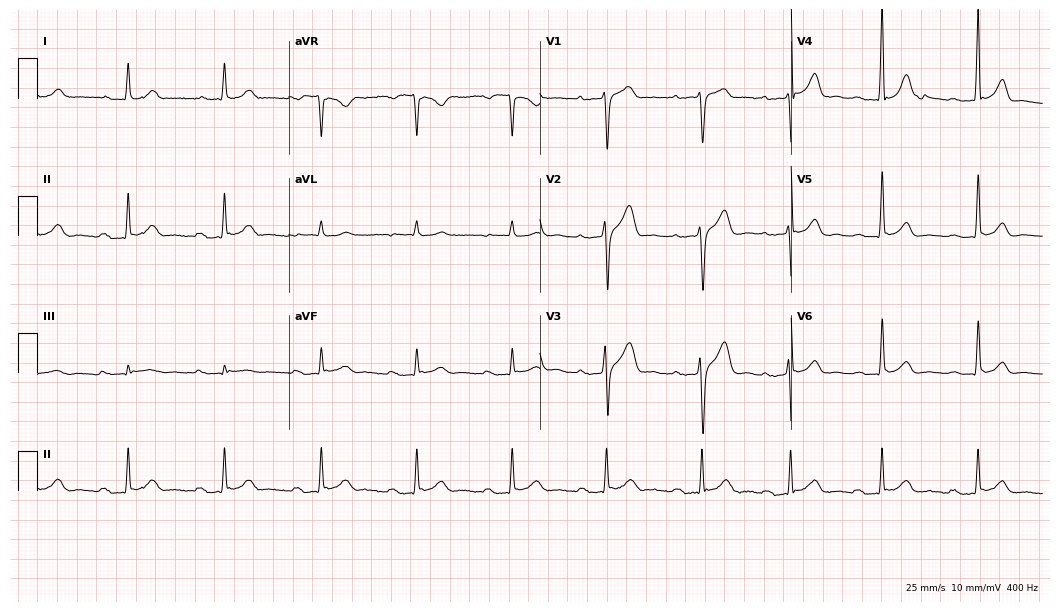
Resting 12-lead electrocardiogram (10.2-second recording at 400 Hz). Patient: a man, 46 years old. The tracing shows first-degree AV block.